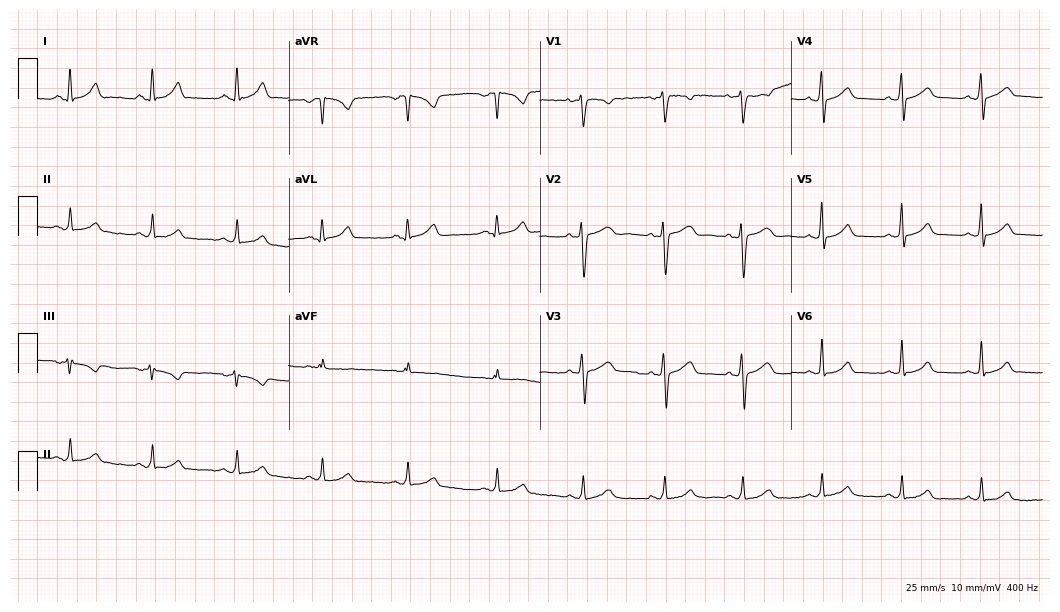
12-lead ECG from a 28-year-old woman (10.2-second recording at 400 Hz). No first-degree AV block, right bundle branch block (RBBB), left bundle branch block (LBBB), sinus bradycardia, atrial fibrillation (AF) or sinus tachycardia recorded for this tracing.